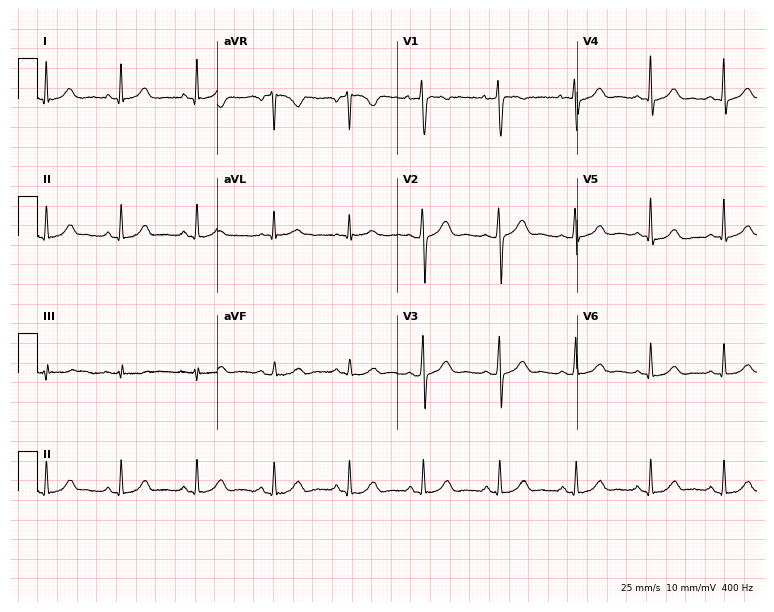
Standard 12-lead ECG recorded from a woman, 38 years old. Read as a normal ECG.